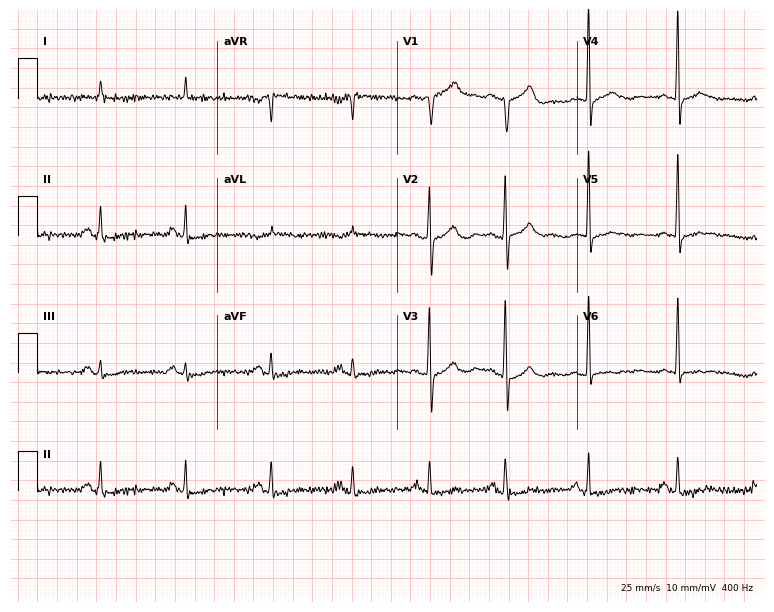
12-lead ECG from a male, 77 years old (7.3-second recording at 400 Hz). No first-degree AV block, right bundle branch block, left bundle branch block, sinus bradycardia, atrial fibrillation or sinus tachycardia recorded for this tracing.